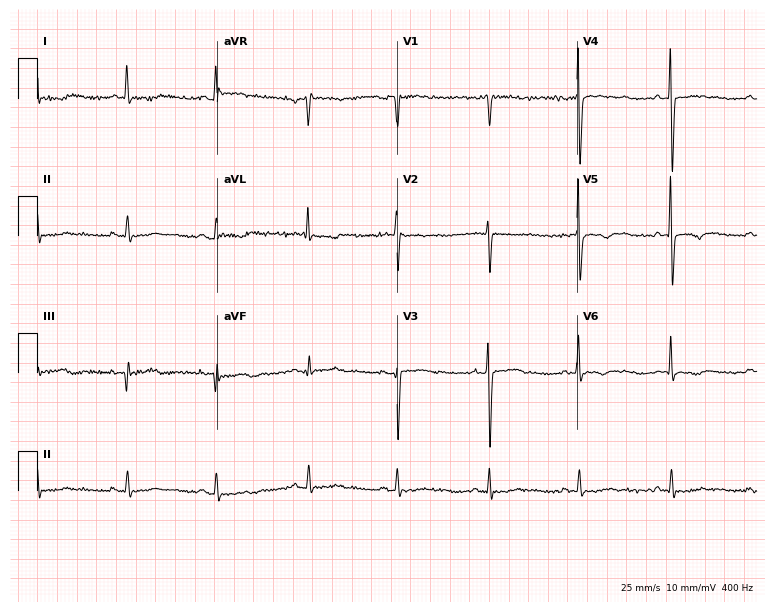
12-lead ECG from a female patient, 54 years old. No first-degree AV block, right bundle branch block (RBBB), left bundle branch block (LBBB), sinus bradycardia, atrial fibrillation (AF) or sinus tachycardia recorded for this tracing.